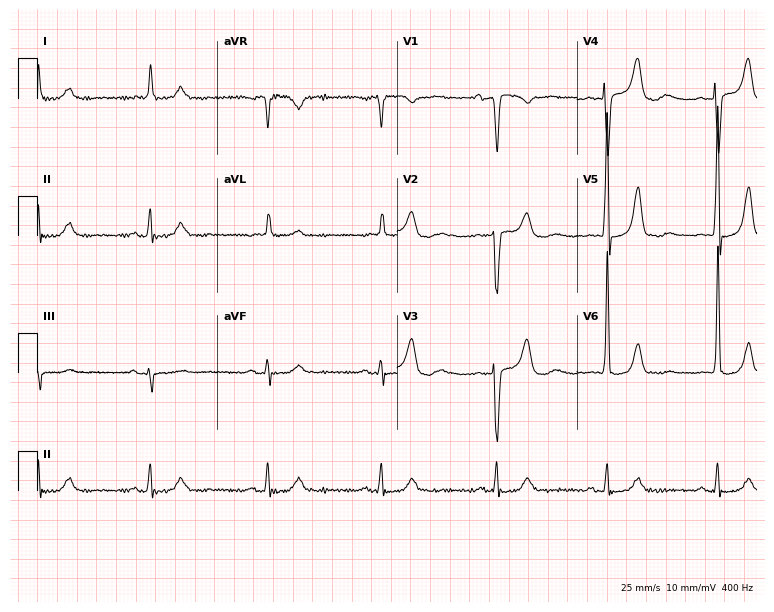
12-lead ECG from a 75-year-old female patient. No first-degree AV block, right bundle branch block, left bundle branch block, sinus bradycardia, atrial fibrillation or sinus tachycardia recorded for this tracing. Findings outside these six are not listed.